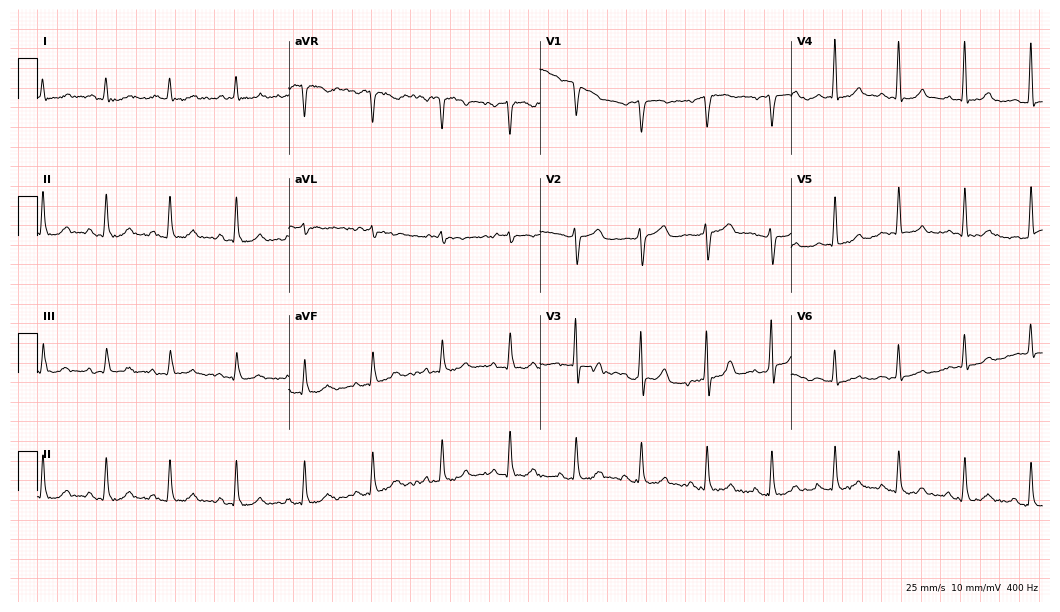
Standard 12-lead ECG recorded from a 65-year-old man. None of these six findings is recorded: first-degree AV block, right bundle branch block (RBBB), left bundle branch block (LBBB), sinus bradycardia, atrial fibrillation (AF), sinus tachycardia.